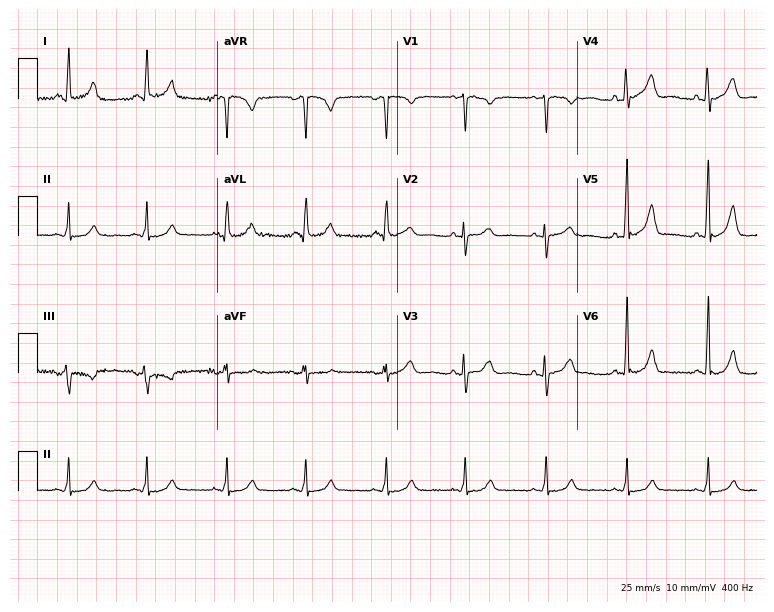
Electrocardiogram (7.3-second recording at 400 Hz), a 59-year-old female. Overall reading on record: normal ECG.